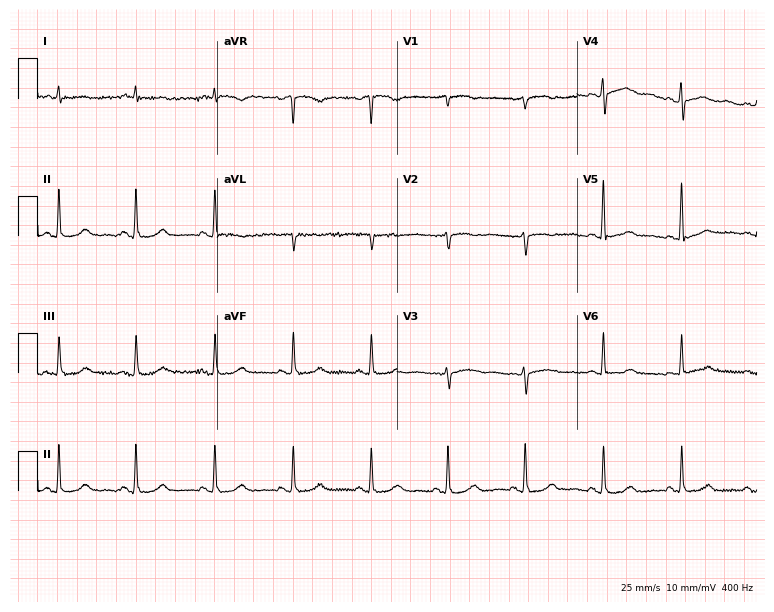
Resting 12-lead electrocardiogram (7.3-second recording at 400 Hz). Patient: a female, 64 years old. None of these six findings is recorded: first-degree AV block, right bundle branch block, left bundle branch block, sinus bradycardia, atrial fibrillation, sinus tachycardia.